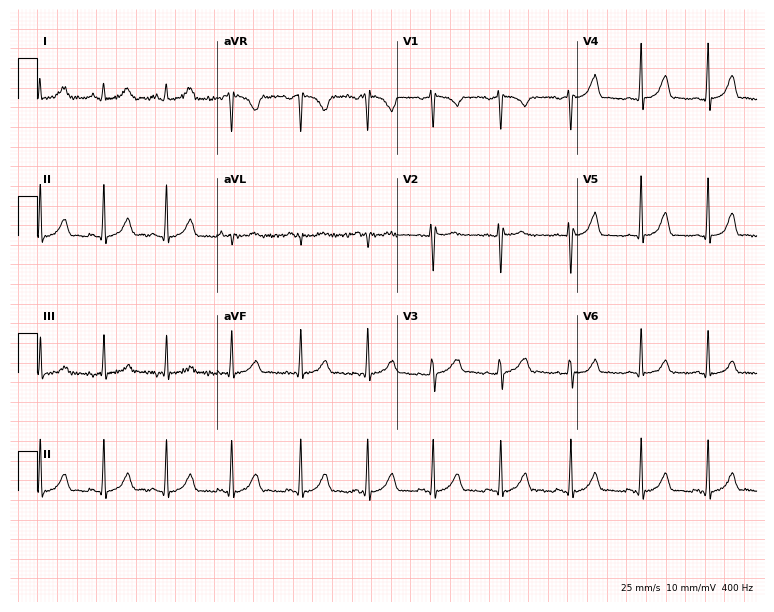
Electrocardiogram (7.3-second recording at 400 Hz), a 22-year-old female. Overall reading on record: normal ECG.